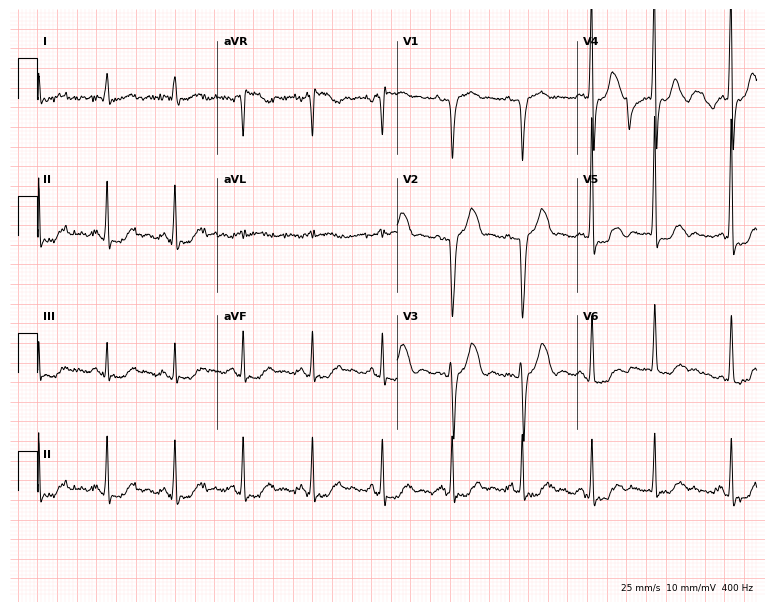
Electrocardiogram (7.3-second recording at 400 Hz), a male patient, 84 years old. Overall reading on record: normal ECG.